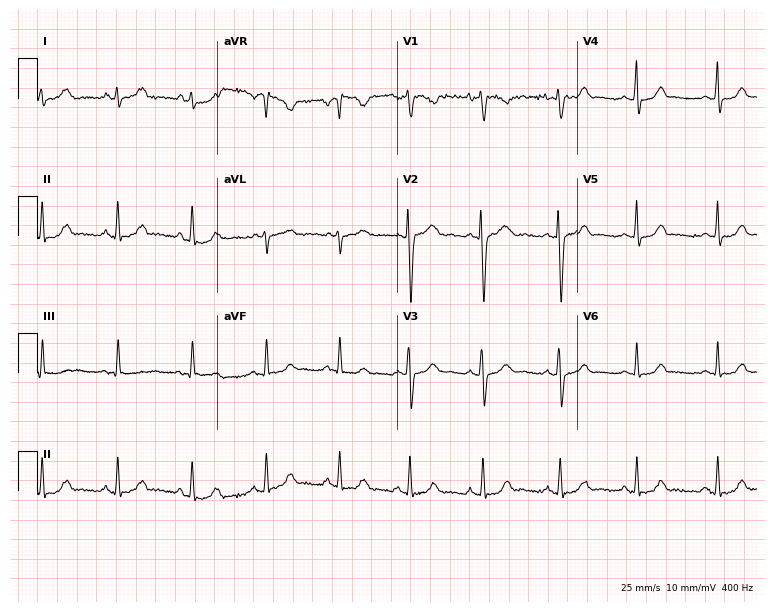
ECG — a 21-year-old woman. Labelled as a normal ECG.